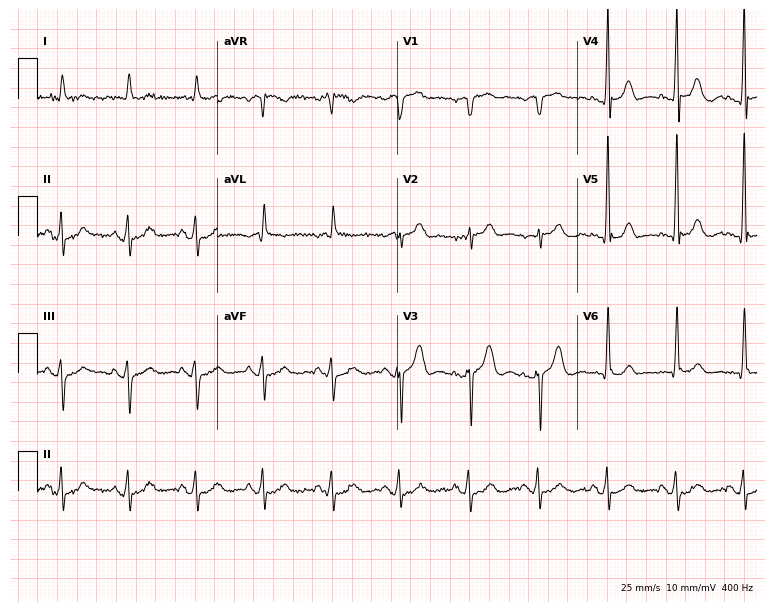
12-lead ECG from an 80-year-old male. Labelled as a normal ECG.